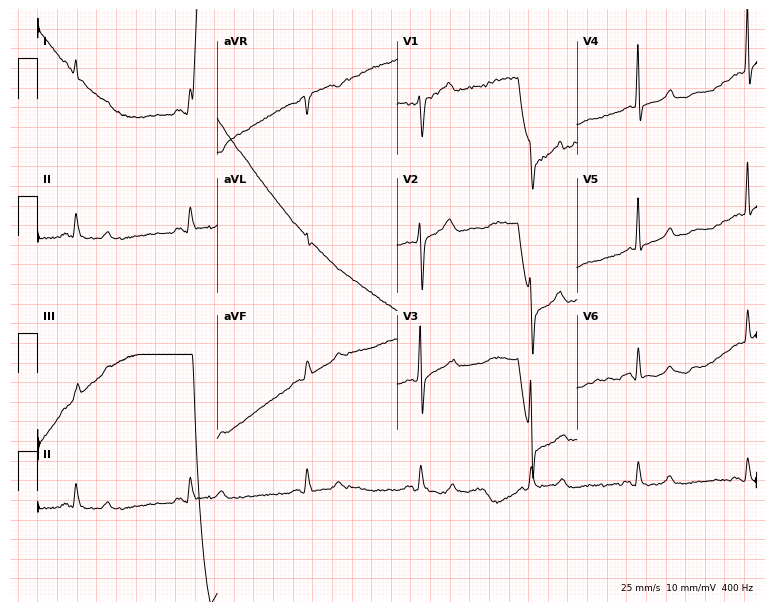
Resting 12-lead electrocardiogram (7.3-second recording at 400 Hz). Patient: a male, 63 years old. None of these six findings is recorded: first-degree AV block, right bundle branch block, left bundle branch block, sinus bradycardia, atrial fibrillation, sinus tachycardia. Findings outside these six are not listed.